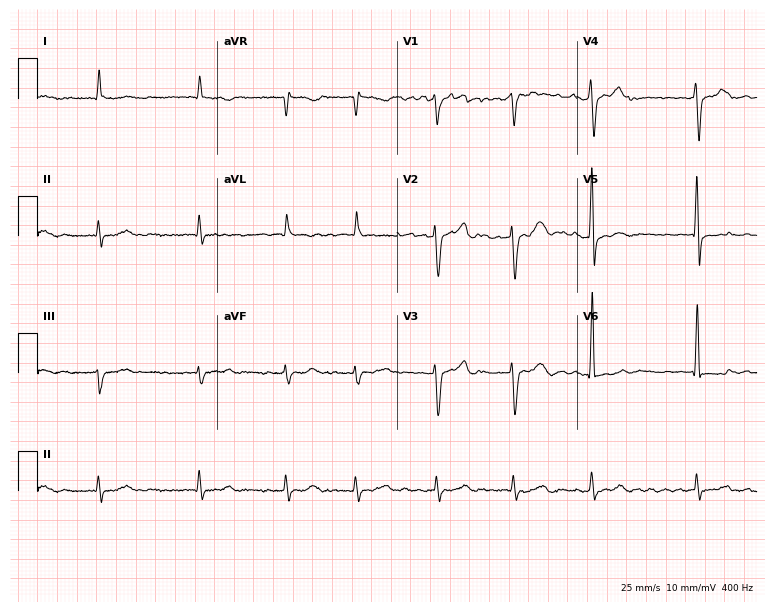
Electrocardiogram (7.3-second recording at 400 Hz), a man, 86 years old. Interpretation includes atrial fibrillation.